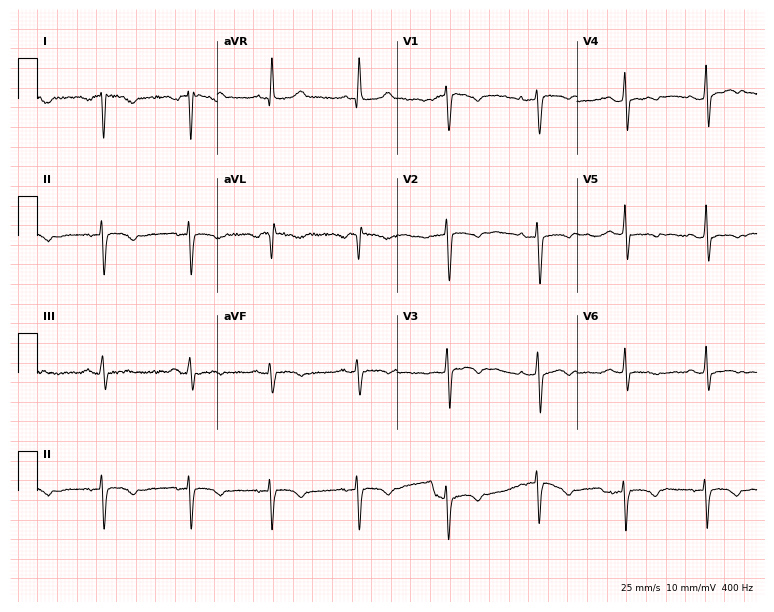
ECG (7.3-second recording at 400 Hz) — a 42-year-old woman. Screened for six findings — first-degree AV block, right bundle branch block, left bundle branch block, sinus bradycardia, atrial fibrillation, sinus tachycardia — none is recorded.